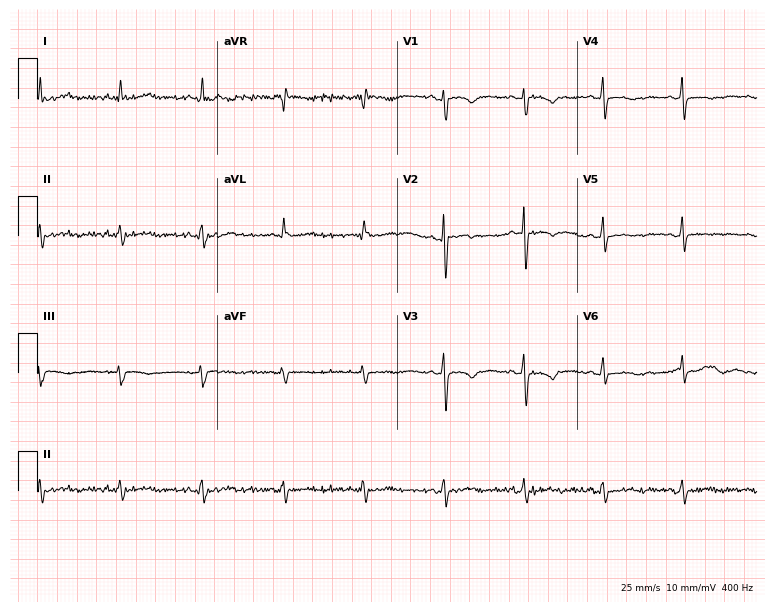
Electrocardiogram, a female patient, 35 years old. Of the six screened findings (first-degree AV block, right bundle branch block (RBBB), left bundle branch block (LBBB), sinus bradycardia, atrial fibrillation (AF), sinus tachycardia), none is recorded.